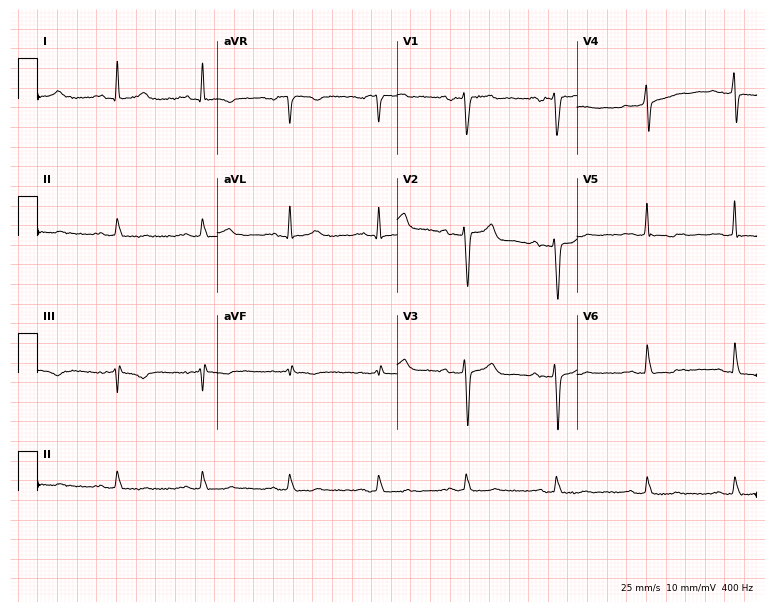
ECG — a male patient, 39 years old. Screened for six findings — first-degree AV block, right bundle branch block, left bundle branch block, sinus bradycardia, atrial fibrillation, sinus tachycardia — none is recorded. Other findings, if any, are not listed.